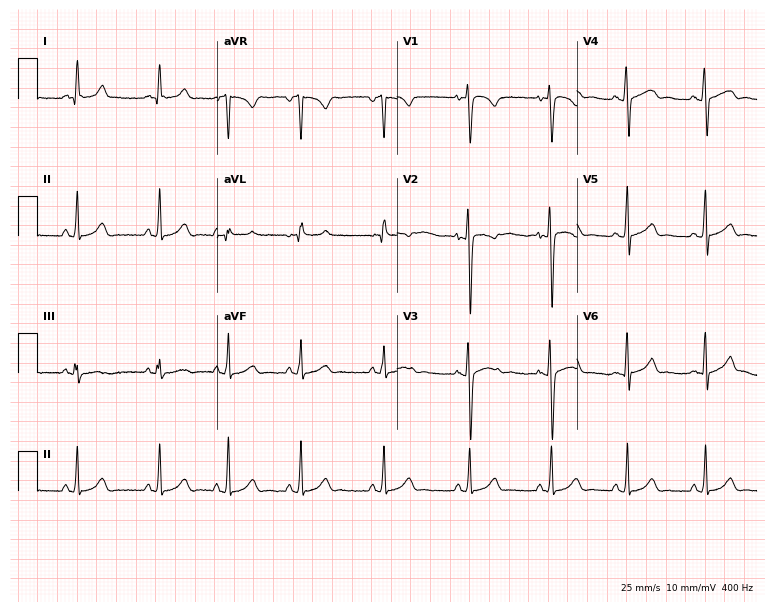
12-lead ECG from a 17-year-old female (7.3-second recording at 400 Hz). No first-degree AV block, right bundle branch block, left bundle branch block, sinus bradycardia, atrial fibrillation or sinus tachycardia recorded for this tracing. Other findings, if any, are not listed.